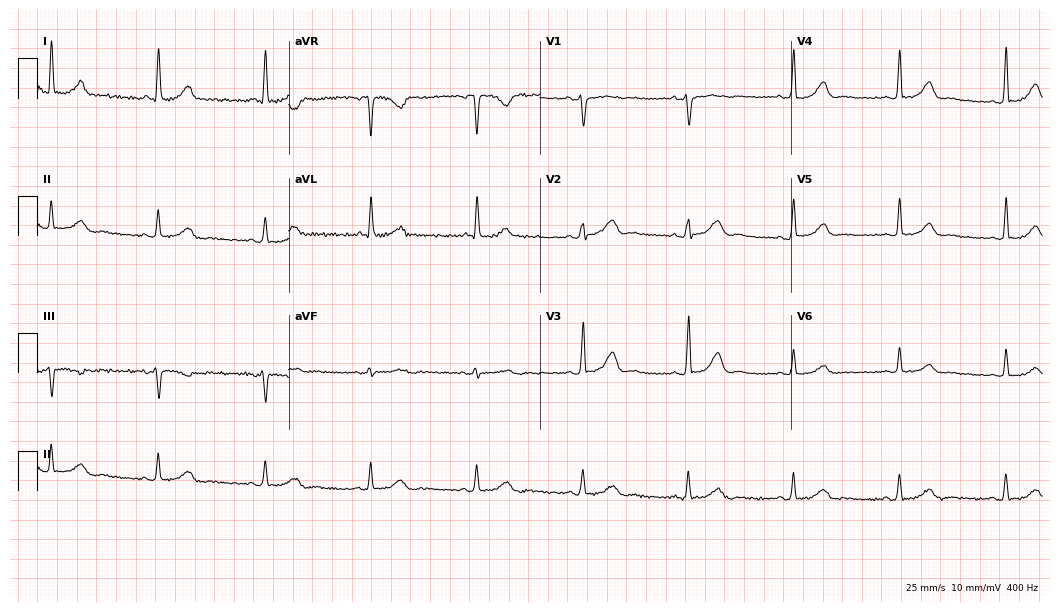
12-lead ECG from a female, 60 years old. Recorded interpretation: within normal limits.